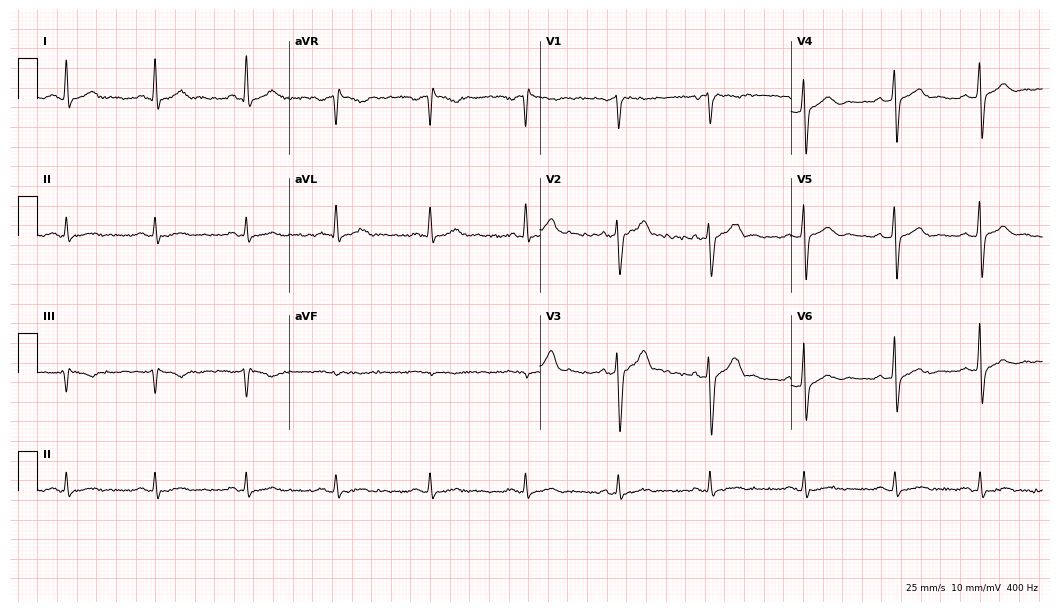
Standard 12-lead ECG recorded from a male, 42 years old. None of these six findings is recorded: first-degree AV block, right bundle branch block, left bundle branch block, sinus bradycardia, atrial fibrillation, sinus tachycardia. Findings outside these six are not listed.